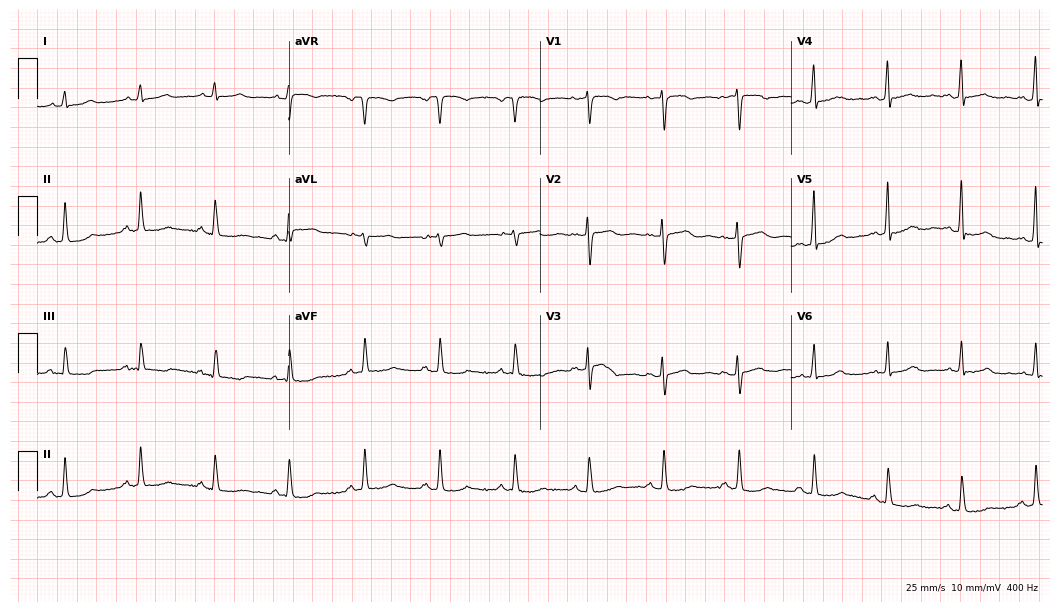
ECG — a female patient, 64 years old. Screened for six findings — first-degree AV block, right bundle branch block, left bundle branch block, sinus bradycardia, atrial fibrillation, sinus tachycardia — none is recorded. Other findings, if any, are not listed.